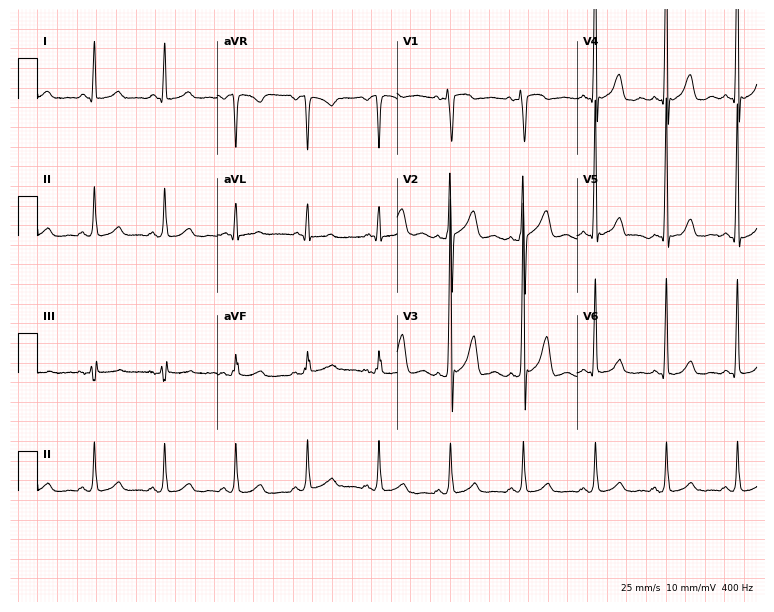
12-lead ECG from a 45-year-old woman. No first-degree AV block, right bundle branch block, left bundle branch block, sinus bradycardia, atrial fibrillation or sinus tachycardia recorded for this tracing.